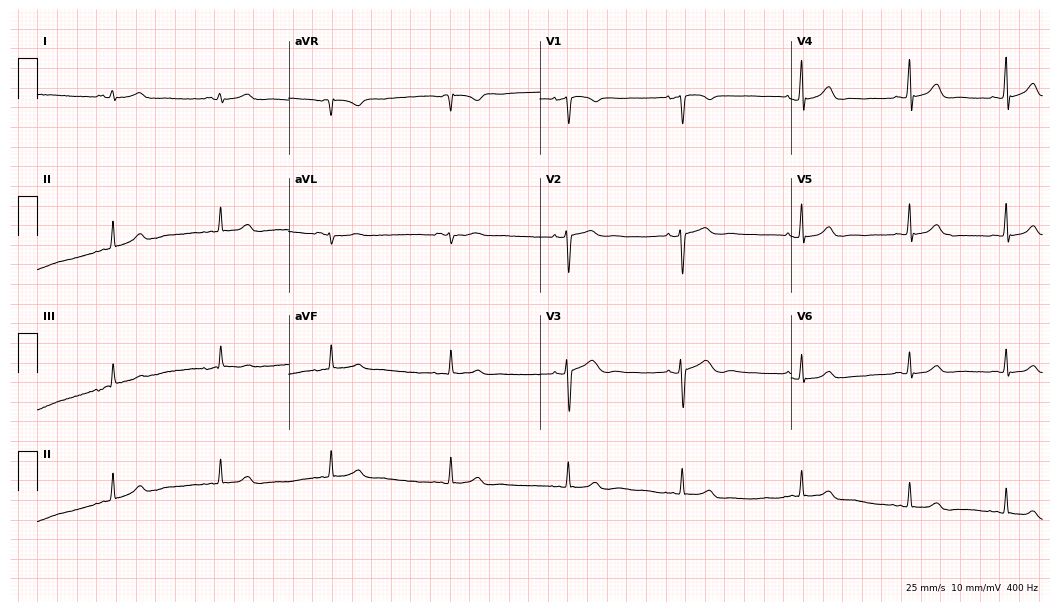
Resting 12-lead electrocardiogram (10.2-second recording at 400 Hz). Patient: a 44-year-old female. None of these six findings is recorded: first-degree AV block, right bundle branch block, left bundle branch block, sinus bradycardia, atrial fibrillation, sinus tachycardia.